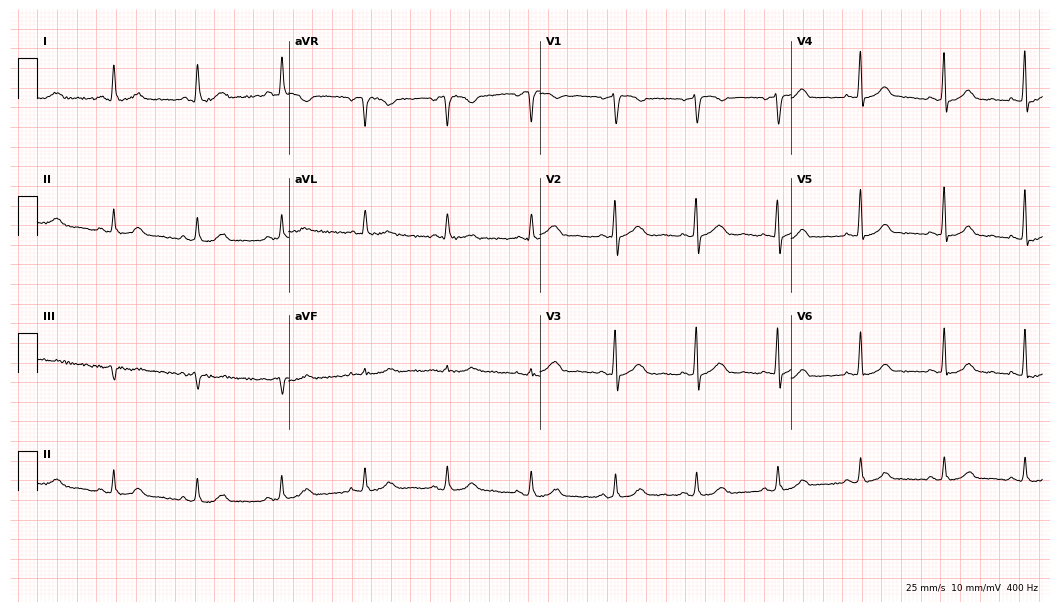
ECG — a female patient, 65 years old. Labelled as a normal ECG.